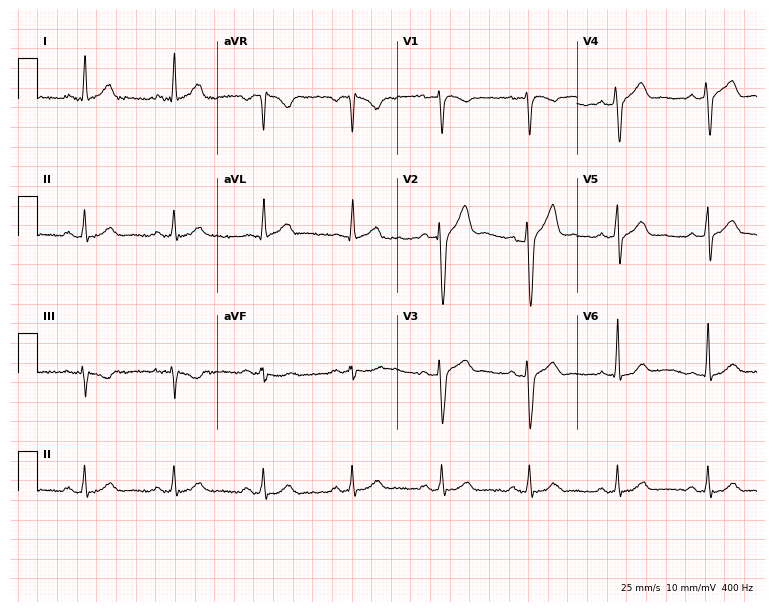
Electrocardiogram, a male, 35 years old. Overall reading on record: normal ECG.